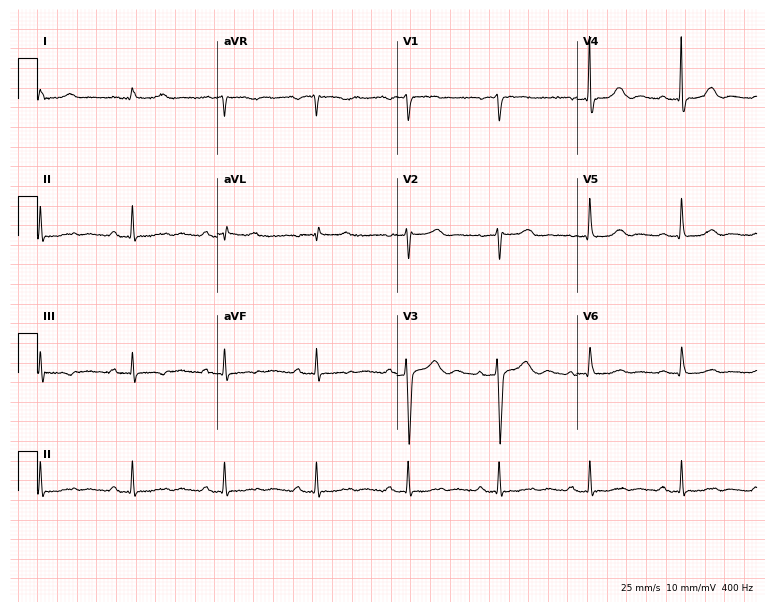
Standard 12-lead ECG recorded from a 58-year-old female. None of these six findings is recorded: first-degree AV block, right bundle branch block (RBBB), left bundle branch block (LBBB), sinus bradycardia, atrial fibrillation (AF), sinus tachycardia. Findings outside these six are not listed.